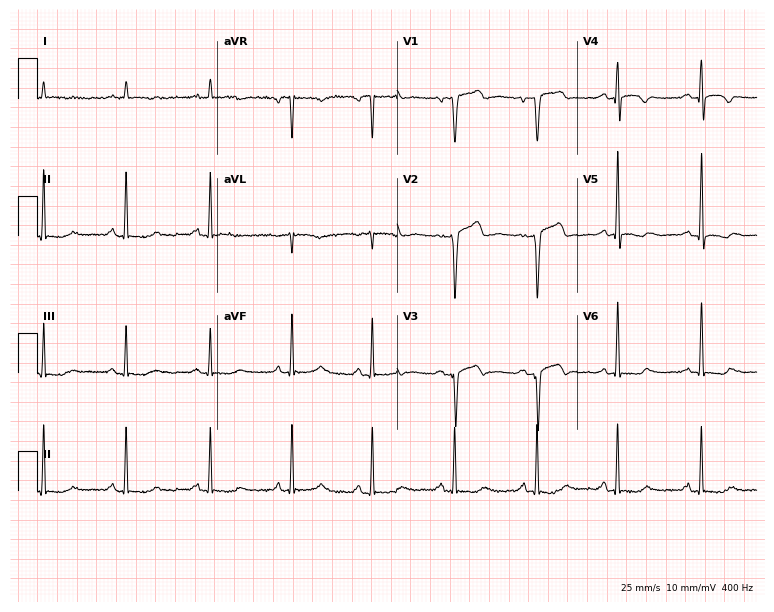
12-lead ECG (7.3-second recording at 400 Hz) from a 71-year-old male. Screened for six findings — first-degree AV block, right bundle branch block, left bundle branch block, sinus bradycardia, atrial fibrillation, sinus tachycardia — none is recorded. Only these six findings were labelled.